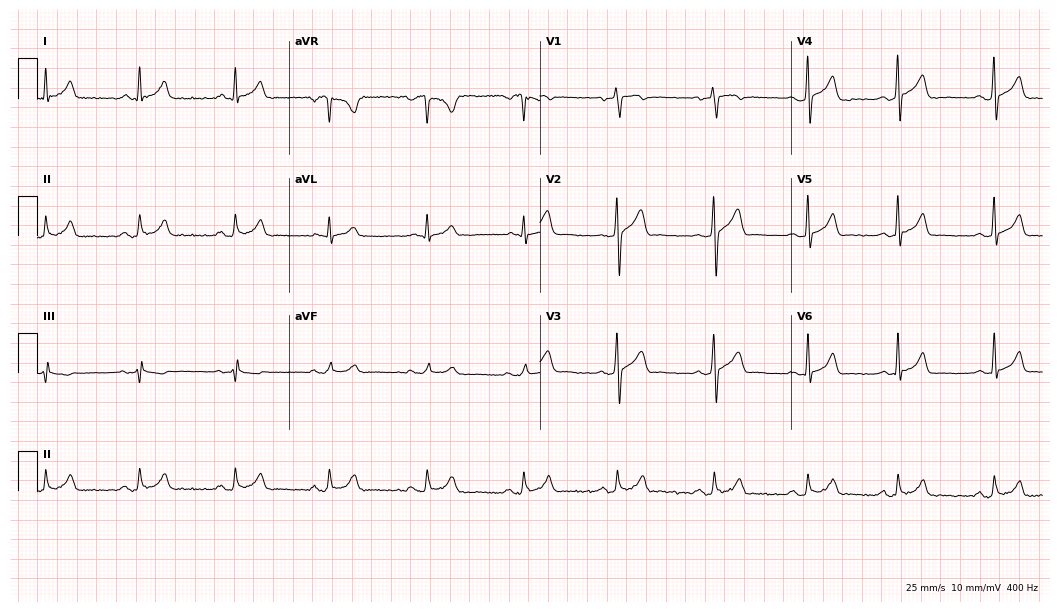
12-lead ECG from a male patient, 36 years old. Recorded interpretation: within normal limits.